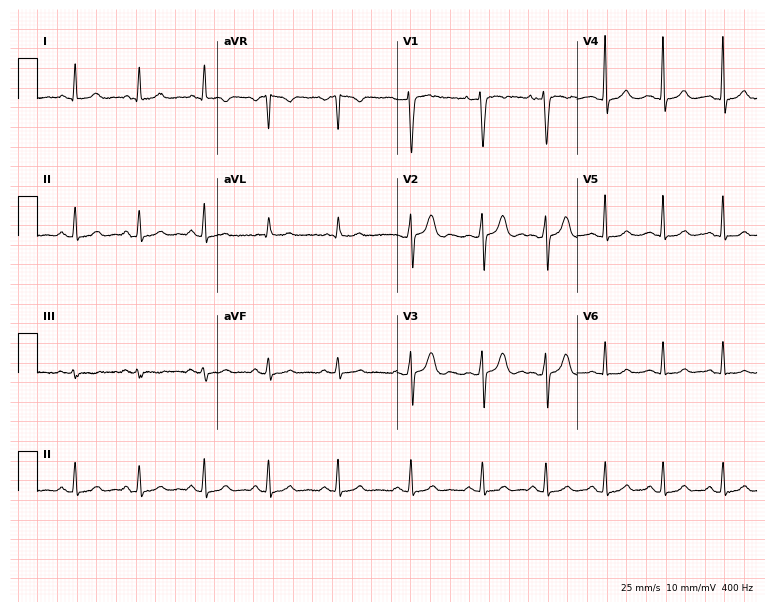
ECG (7.3-second recording at 400 Hz) — a female patient, 33 years old. Labelled as a normal ECG.